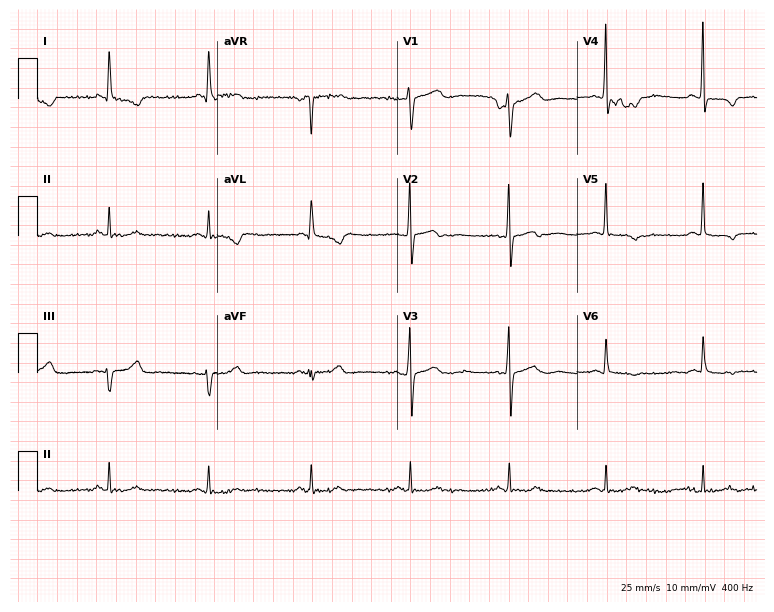
Resting 12-lead electrocardiogram. Patient: a 67-year-old female. None of these six findings is recorded: first-degree AV block, right bundle branch block (RBBB), left bundle branch block (LBBB), sinus bradycardia, atrial fibrillation (AF), sinus tachycardia.